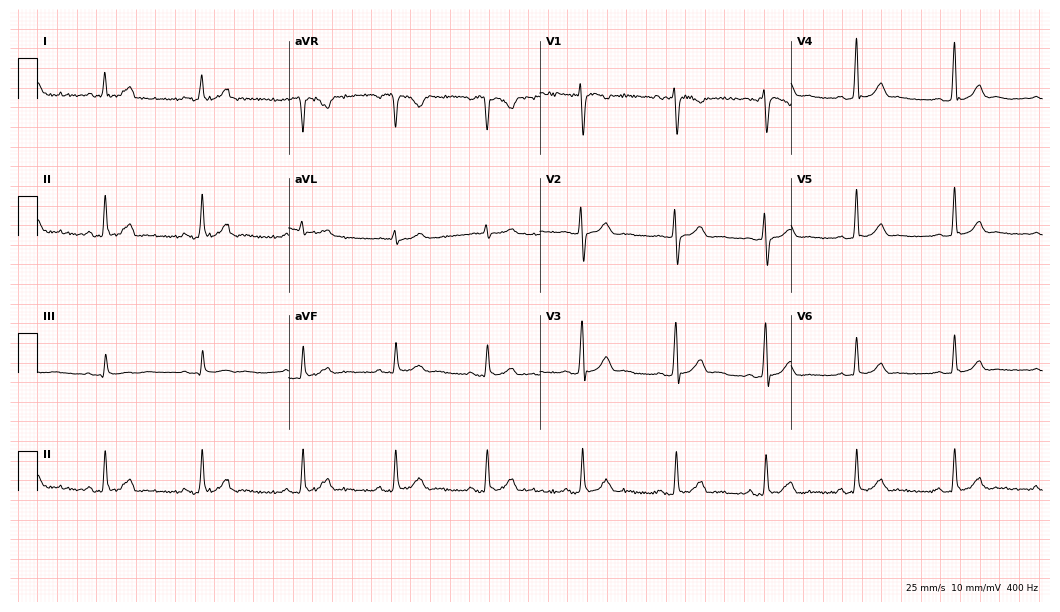
12-lead ECG (10.2-second recording at 400 Hz) from a male patient, 21 years old. Labelled as a normal ECG.